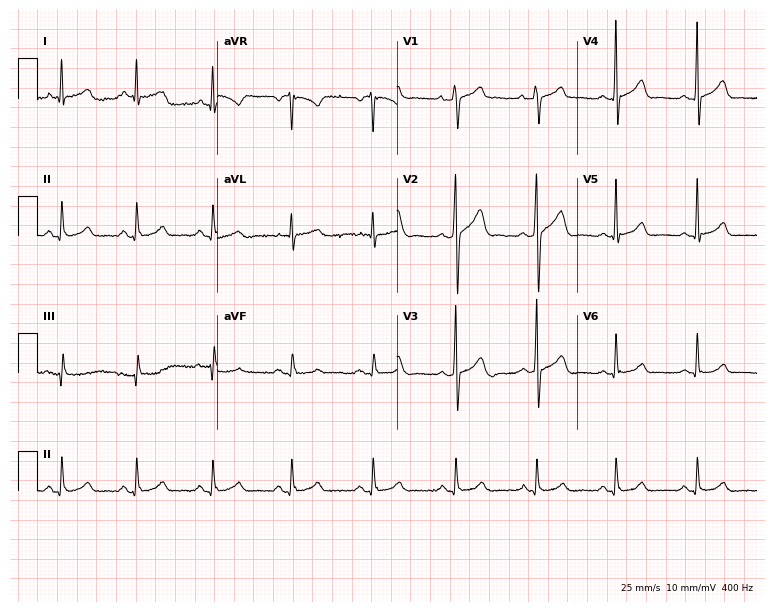
12-lead ECG (7.3-second recording at 400 Hz) from a man, 33 years old. Labelled as a normal ECG.